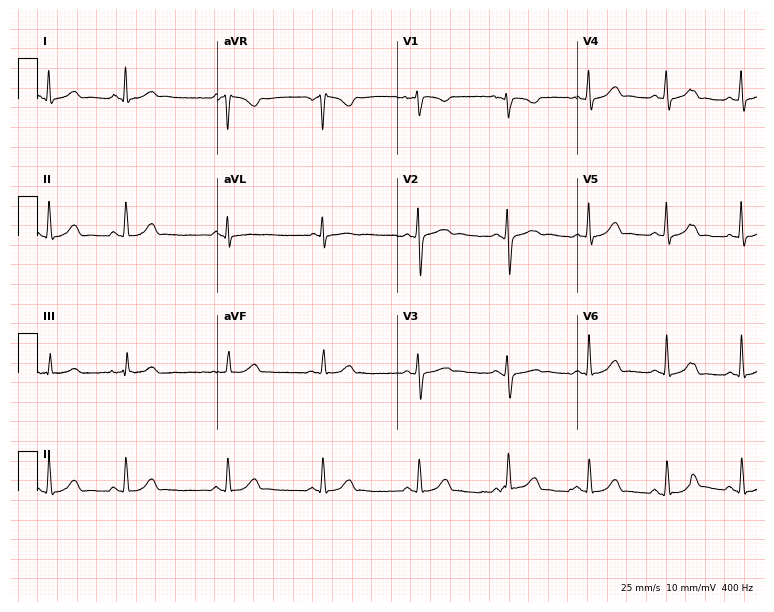
ECG — a female patient, 18 years old. Labelled as a normal ECG.